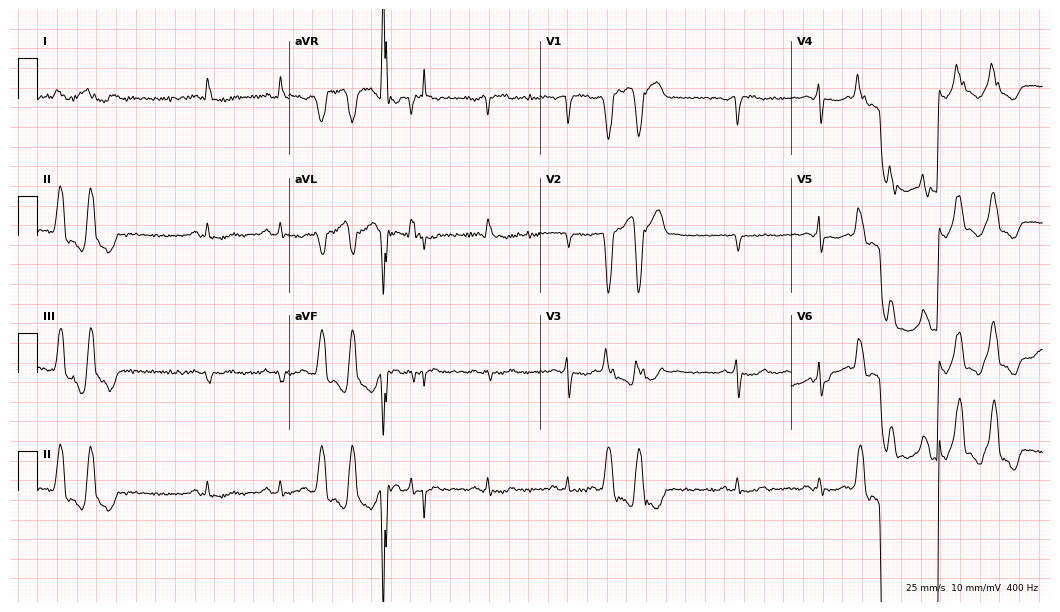
Standard 12-lead ECG recorded from a 59-year-old female. None of these six findings is recorded: first-degree AV block, right bundle branch block, left bundle branch block, sinus bradycardia, atrial fibrillation, sinus tachycardia.